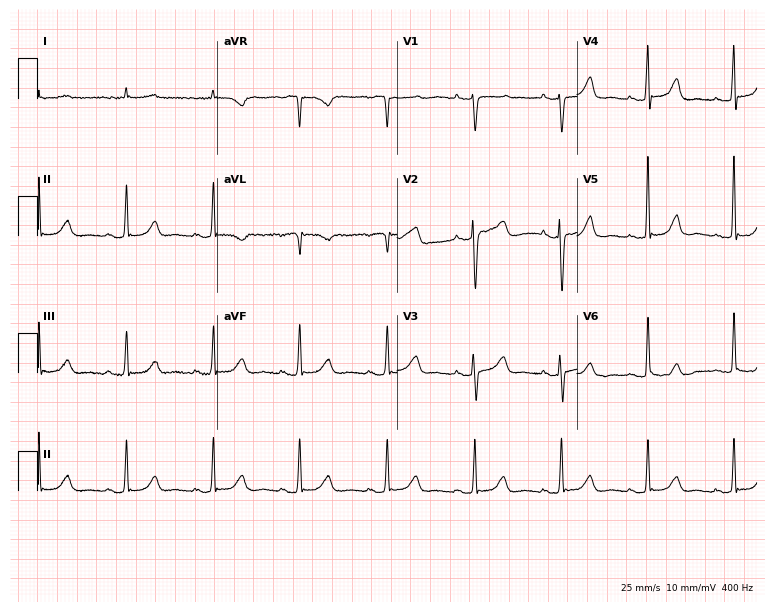
ECG — a female, 81 years old. Screened for six findings — first-degree AV block, right bundle branch block, left bundle branch block, sinus bradycardia, atrial fibrillation, sinus tachycardia — none is recorded. Other findings, if any, are not listed.